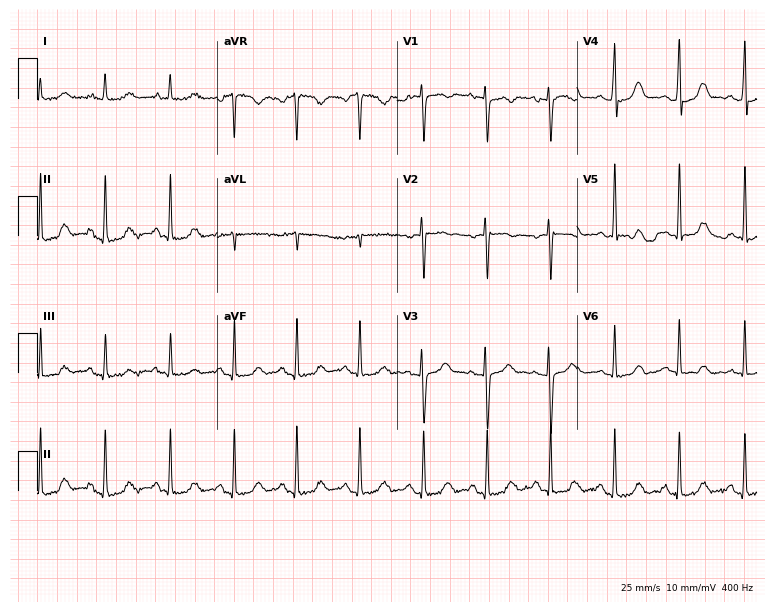
Resting 12-lead electrocardiogram. Patient: a female, 58 years old. Read as a normal ECG.